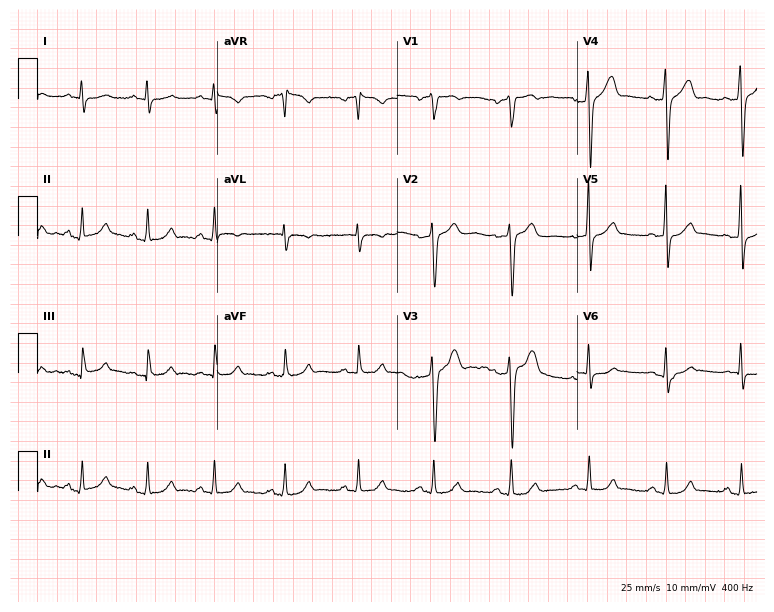
12-lead ECG from a 56-year-old male patient. Screened for six findings — first-degree AV block, right bundle branch block (RBBB), left bundle branch block (LBBB), sinus bradycardia, atrial fibrillation (AF), sinus tachycardia — none is recorded. Only these six findings were labelled.